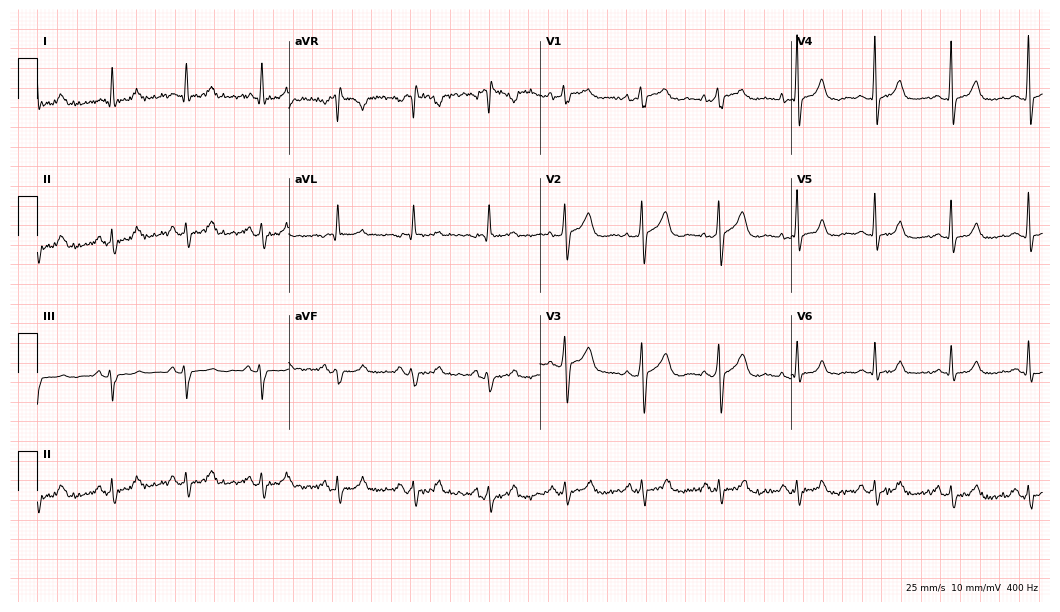
12-lead ECG from a male patient, 72 years old. Labelled as a normal ECG.